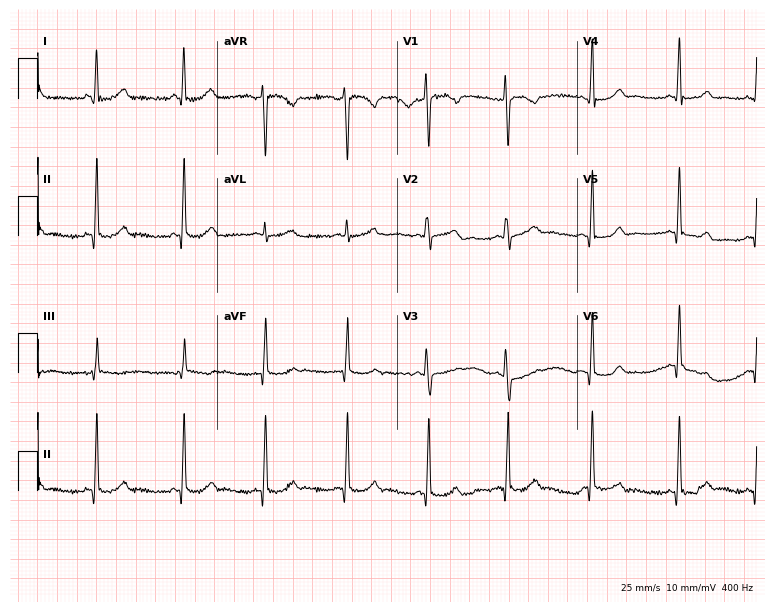
ECG — a 26-year-old woman. Labelled as a normal ECG.